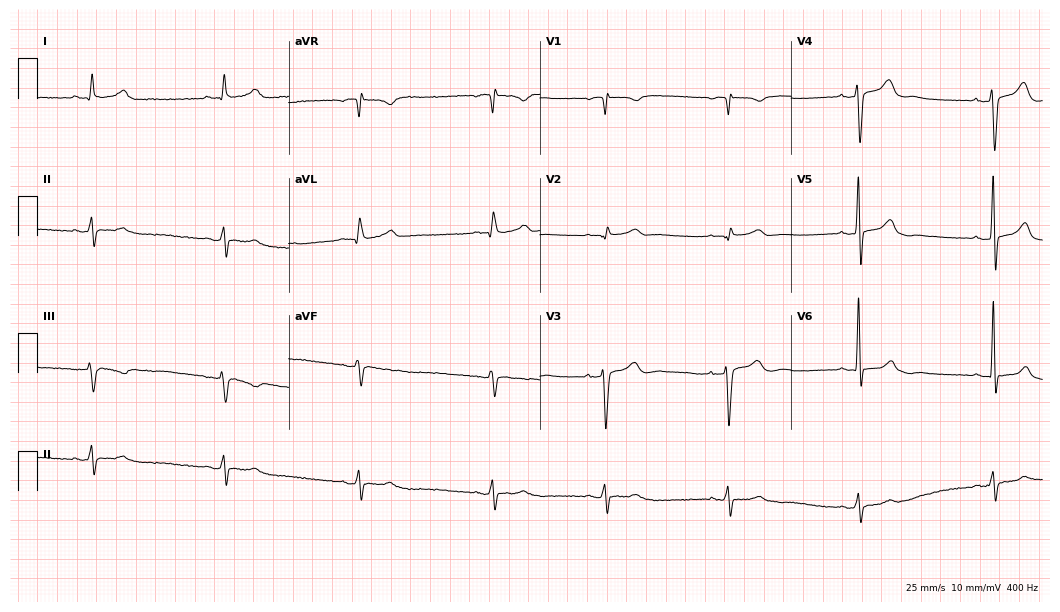
Electrocardiogram, a 71-year-old male patient. Interpretation includes sinus bradycardia (a sinus rate of 50 beats per minute or less).